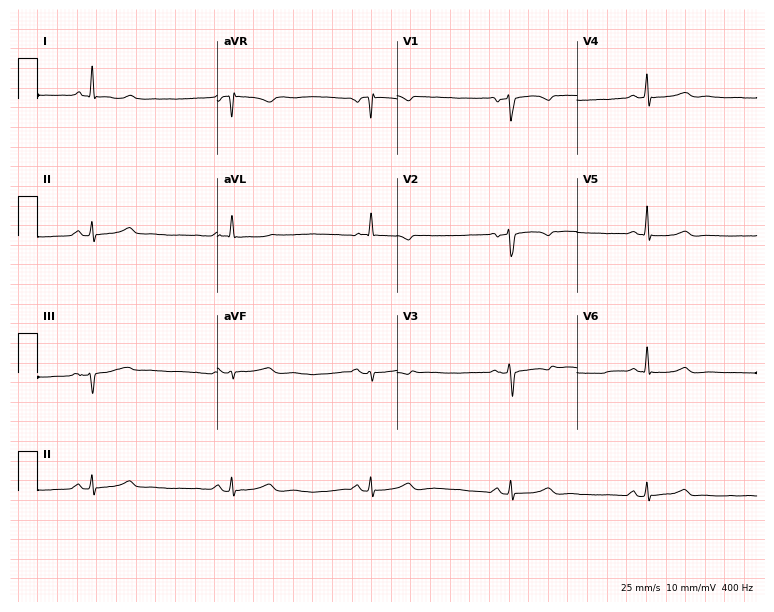
12-lead ECG from a 72-year-old female. Shows sinus bradycardia (a sinus rate of 50 beats per minute or less).